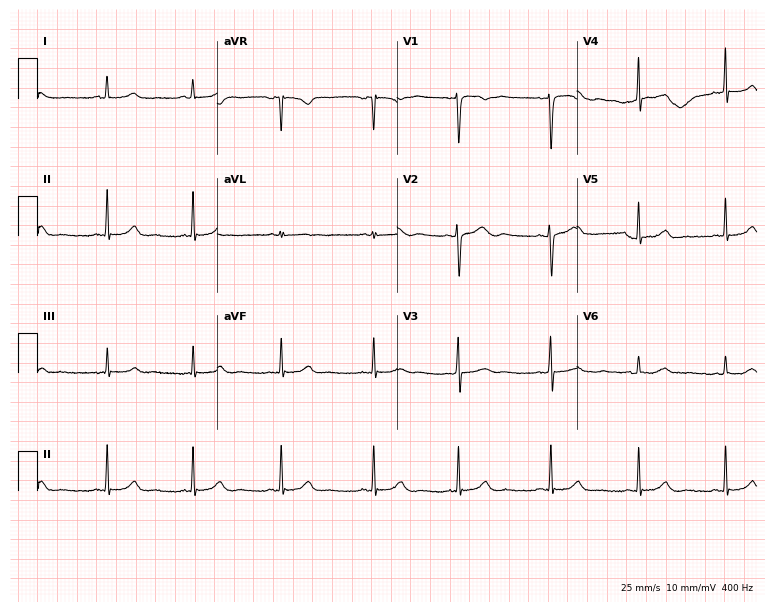
Electrocardiogram (7.3-second recording at 400 Hz), a 17-year-old female patient. Overall reading on record: normal ECG.